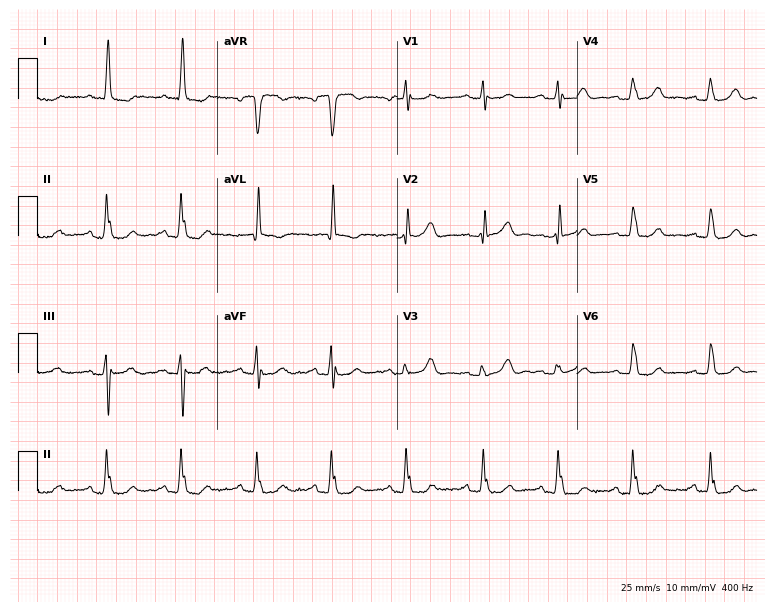
12-lead ECG (7.3-second recording at 400 Hz) from a 73-year-old female. Screened for six findings — first-degree AV block, right bundle branch block, left bundle branch block, sinus bradycardia, atrial fibrillation, sinus tachycardia — none is recorded. Only these six findings were labelled.